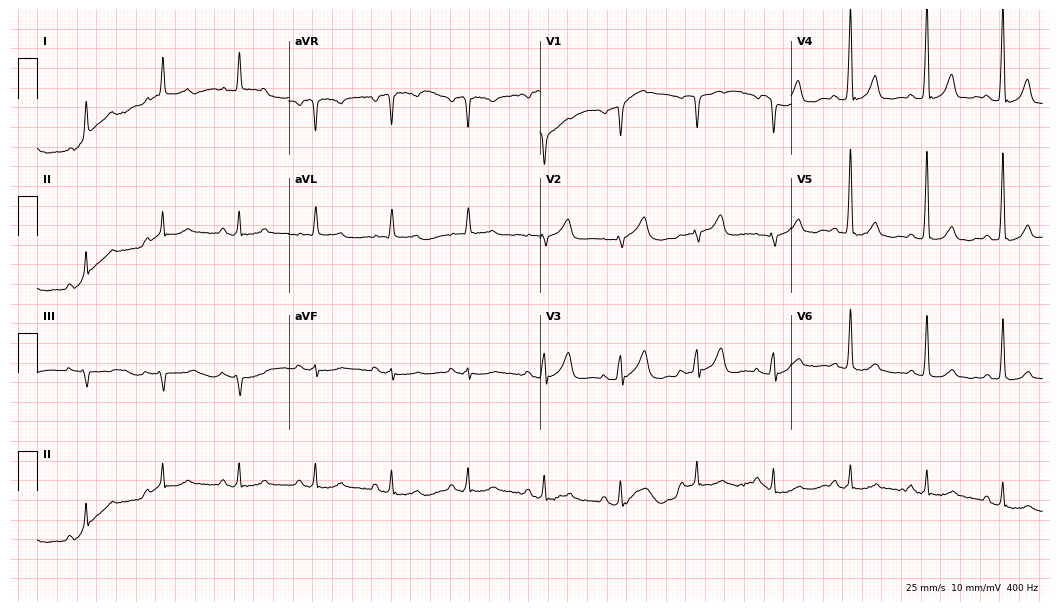
12-lead ECG from a male patient, 74 years old. Recorded interpretation: within normal limits.